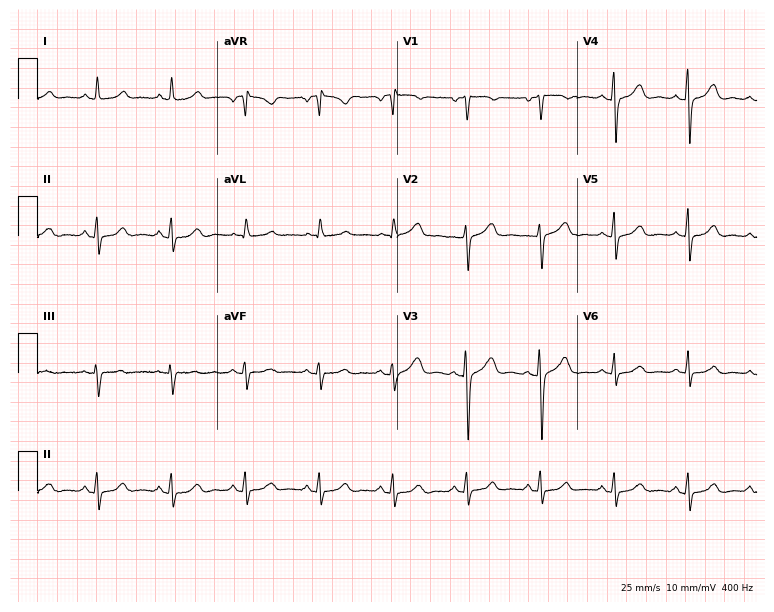
ECG (7.3-second recording at 400 Hz) — a 52-year-old woman. Labelled as a normal ECG.